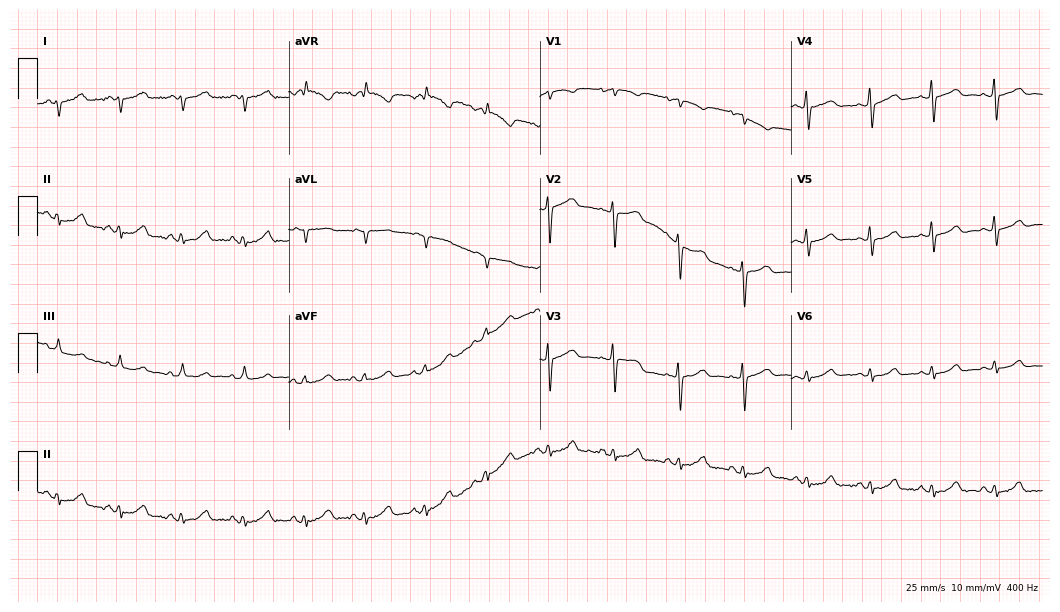
Resting 12-lead electrocardiogram (10.2-second recording at 400 Hz). Patient: a 36-year-old female. None of these six findings is recorded: first-degree AV block, right bundle branch block, left bundle branch block, sinus bradycardia, atrial fibrillation, sinus tachycardia. Only these six findings were labelled.